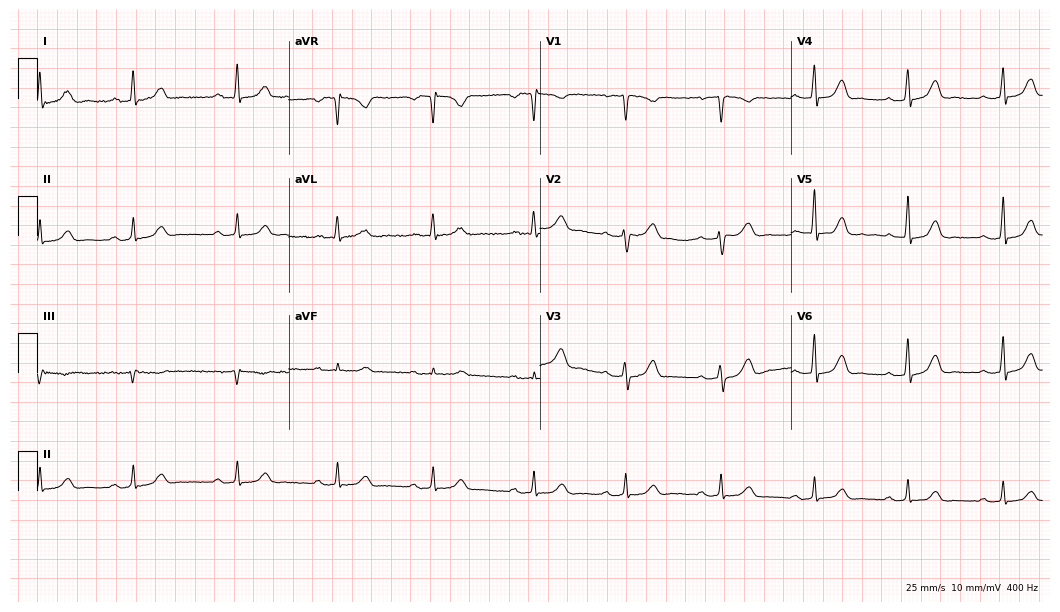
Electrocardiogram (10.2-second recording at 400 Hz), a 46-year-old woman. Overall reading on record: normal ECG.